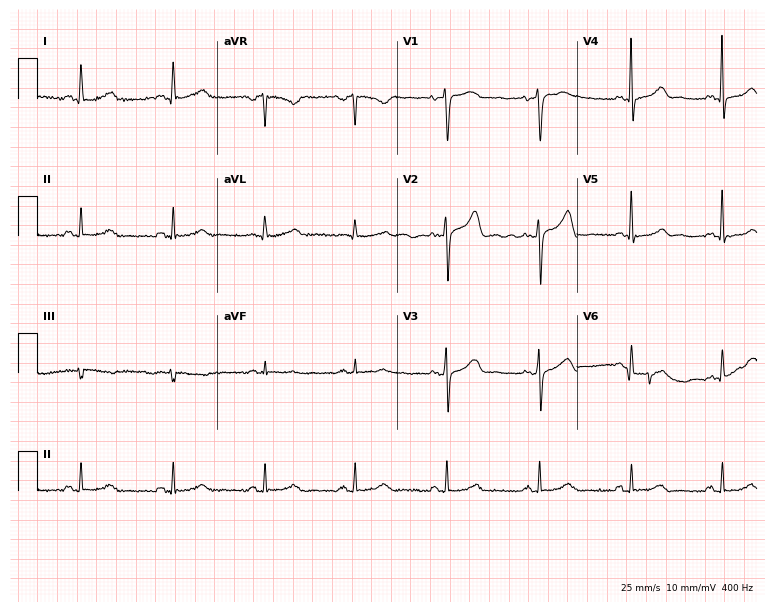
12-lead ECG from a 63-year-old female patient (7.3-second recording at 400 Hz). Recorded interpretation: within normal limits.